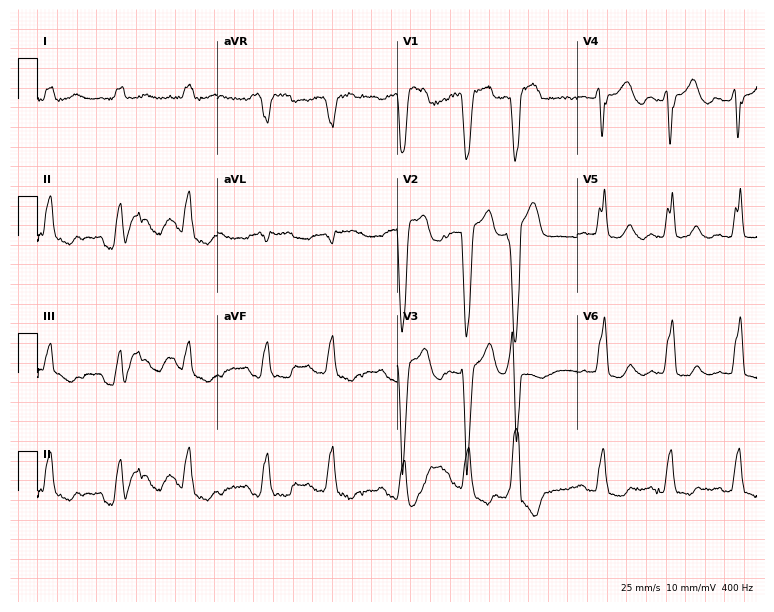
ECG (7.3-second recording at 400 Hz) — a 67-year-old male patient. Findings include left bundle branch block (LBBB).